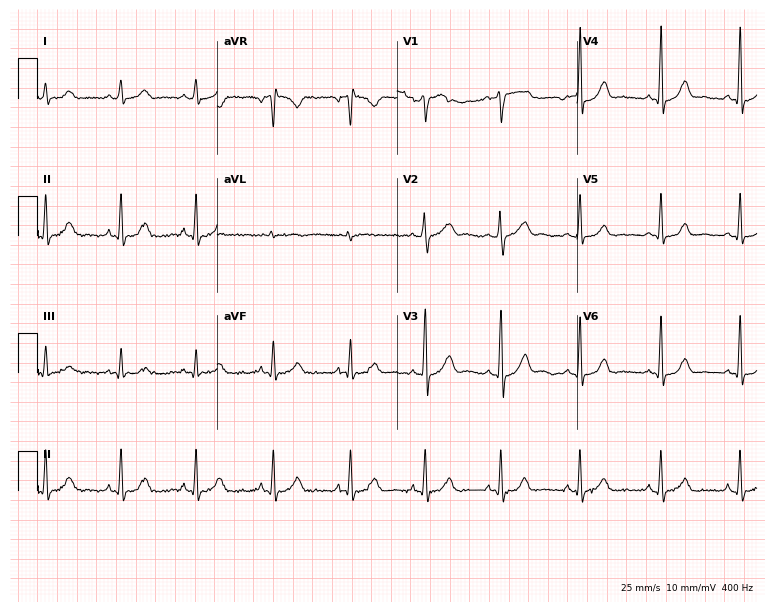
Resting 12-lead electrocardiogram (7.3-second recording at 400 Hz). Patient: a male, 31 years old. Read as a normal ECG.